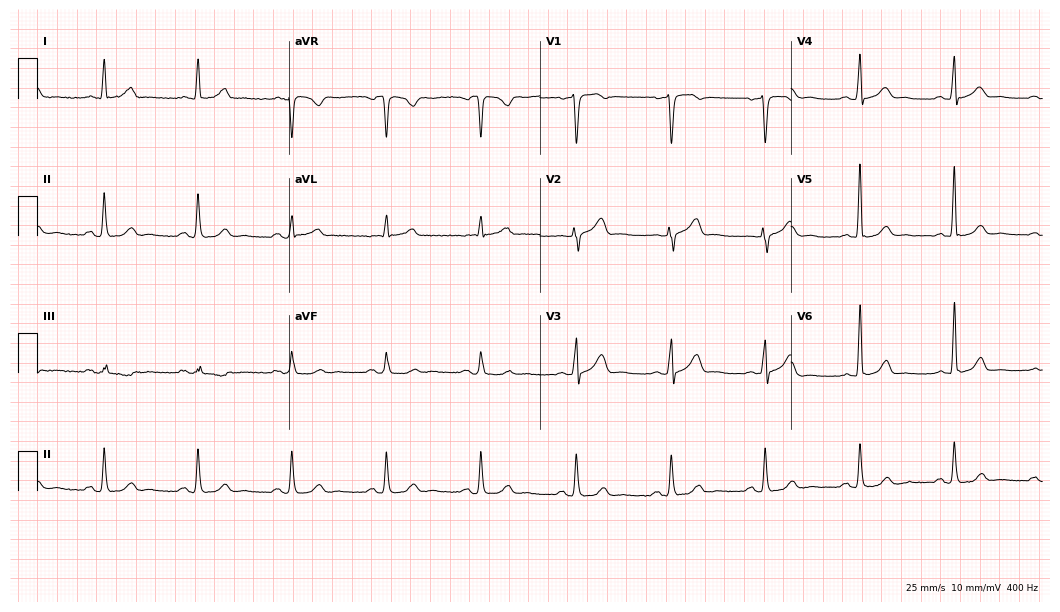
ECG (10.2-second recording at 400 Hz) — a 53-year-old woman. Screened for six findings — first-degree AV block, right bundle branch block, left bundle branch block, sinus bradycardia, atrial fibrillation, sinus tachycardia — none is recorded. Findings outside these six are not listed.